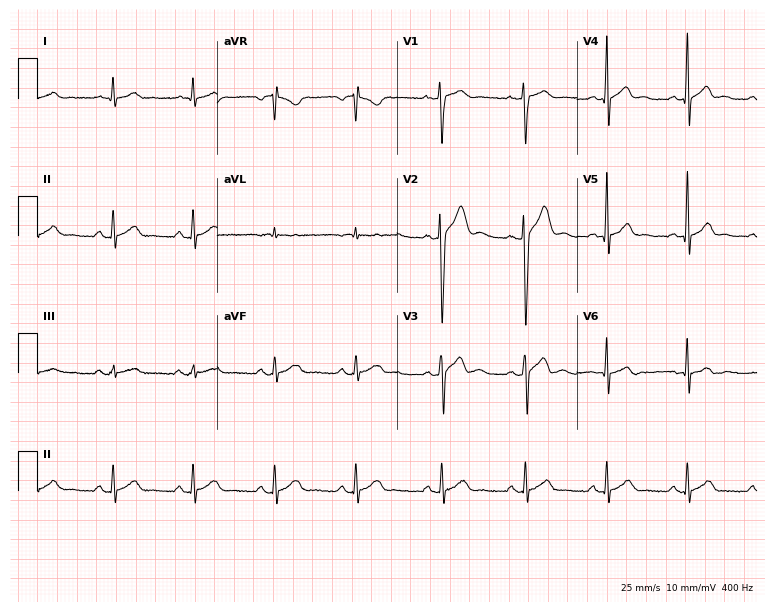
Standard 12-lead ECG recorded from a male, 19 years old (7.3-second recording at 400 Hz). Read as a normal ECG.